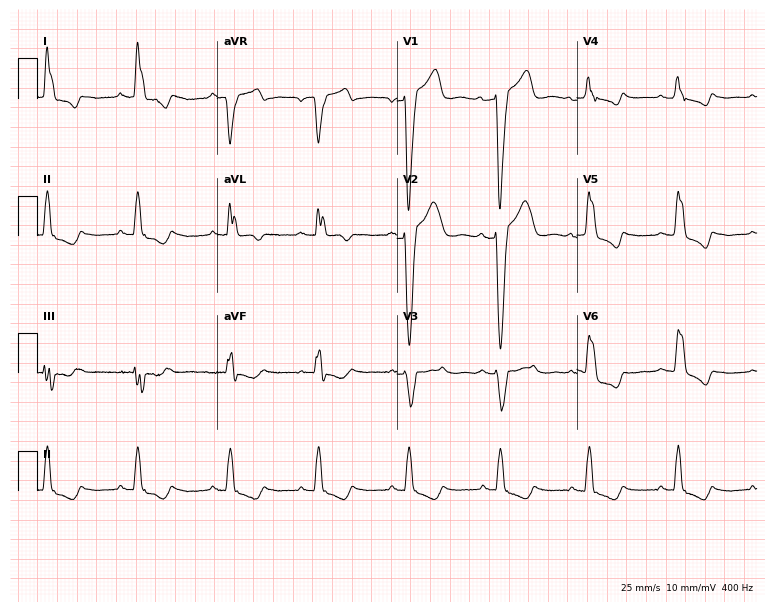
Resting 12-lead electrocardiogram (7.3-second recording at 400 Hz). Patient: a 55-year-old female. The tracing shows left bundle branch block (LBBB).